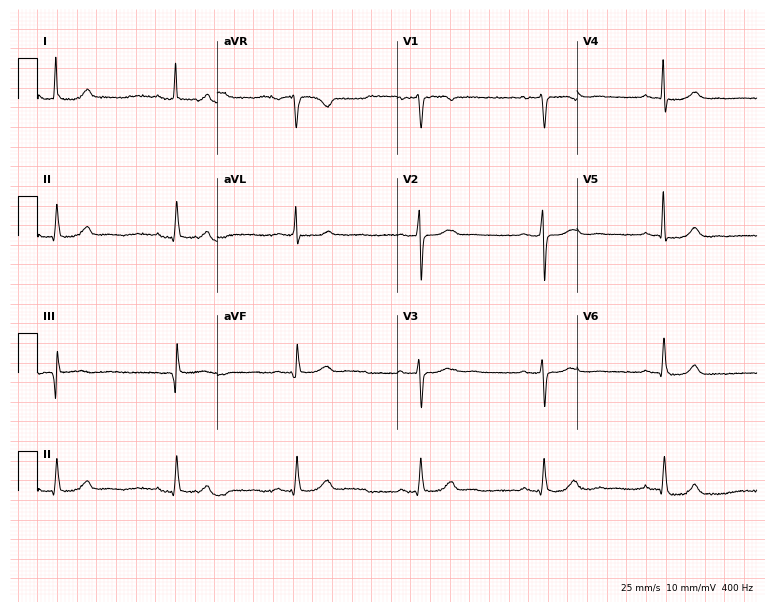
Standard 12-lead ECG recorded from a female, 69 years old (7.3-second recording at 400 Hz). Read as a normal ECG.